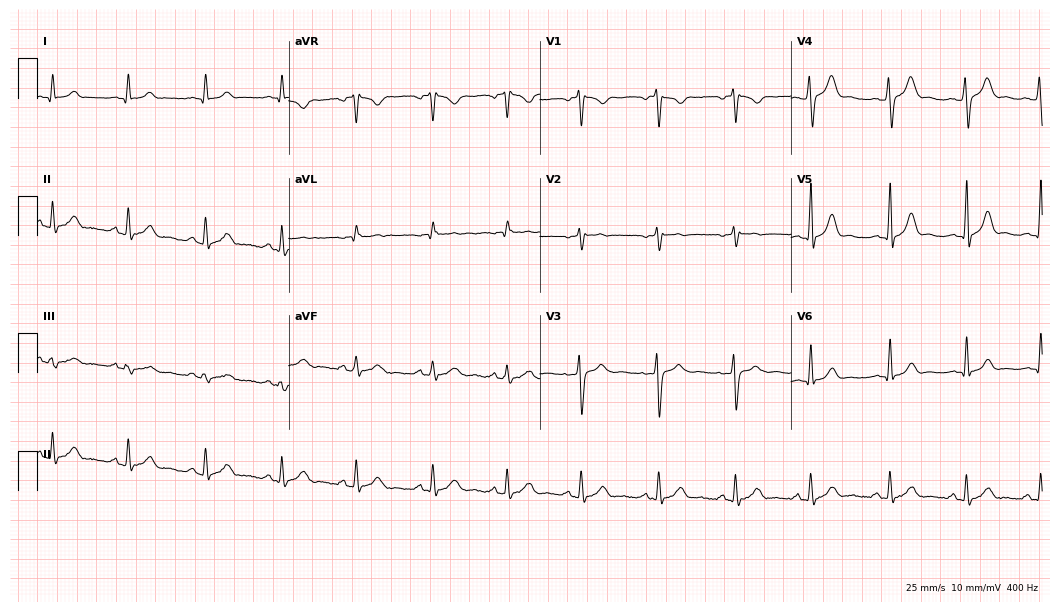
Resting 12-lead electrocardiogram. Patient: a 20-year-old female. Read as a normal ECG.